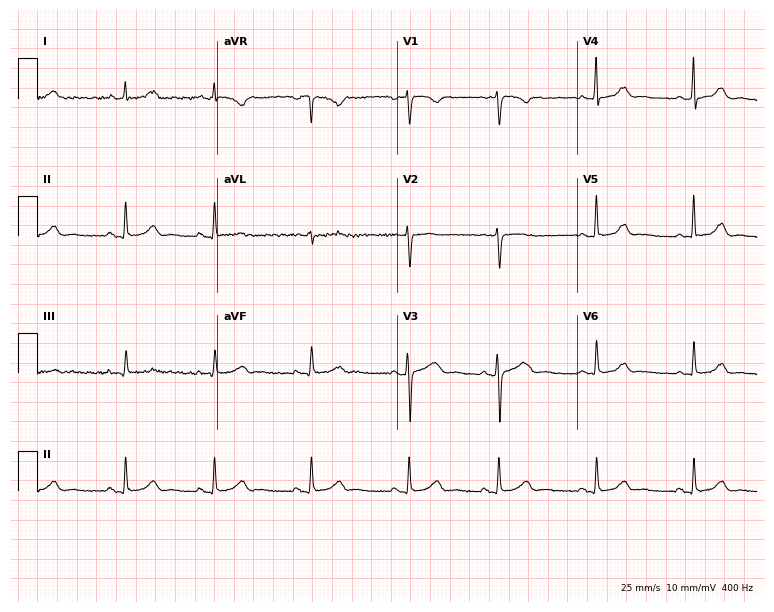
Standard 12-lead ECG recorded from a 43-year-old female. None of these six findings is recorded: first-degree AV block, right bundle branch block, left bundle branch block, sinus bradycardia, atrial fibrillation, sinus tachycardia.